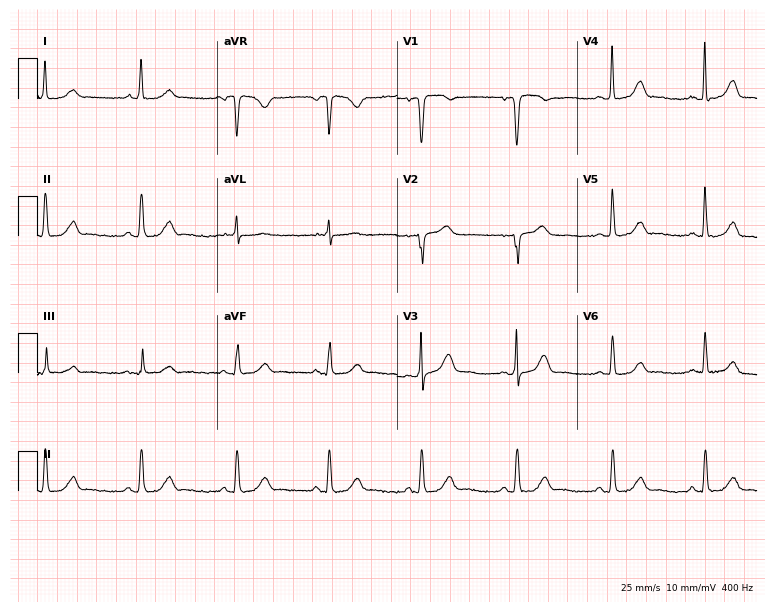
Standard 12-lead ECG recorded from a woman, 62 years old. Read as a normal ECG.